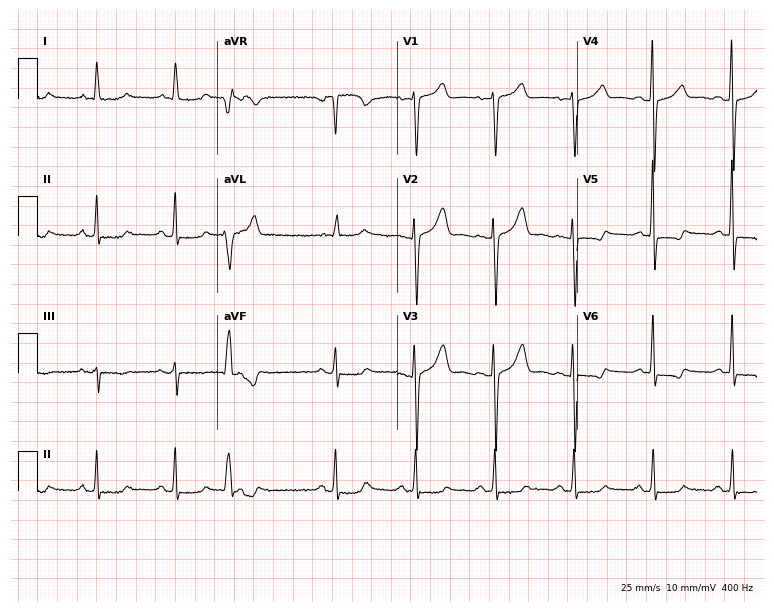
ECG (7.3-second recording at 400 Hz) — a woman, 58 years old. Labelled as a normal ECG.